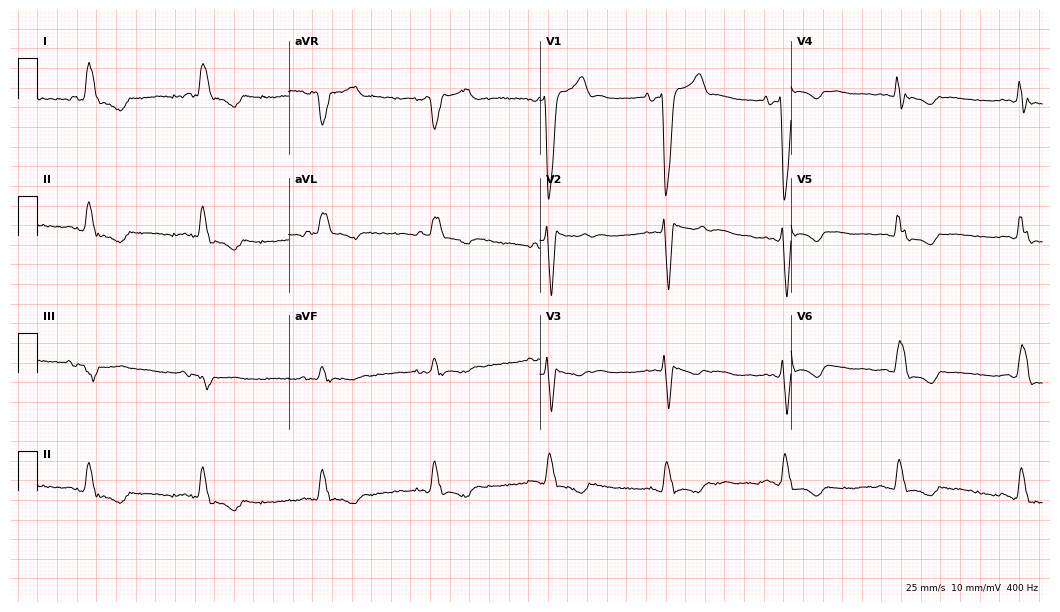
12-lead ECG from a man, 81 years old. Shows left bundle branch block.